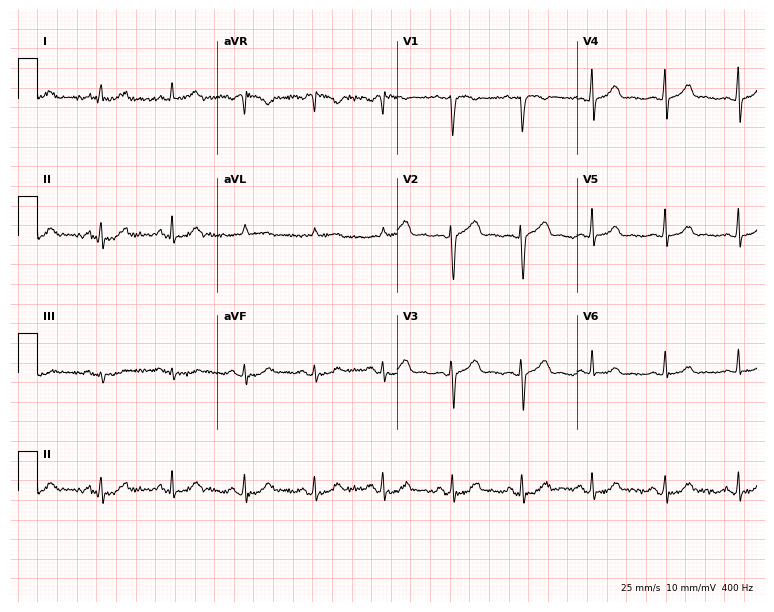
12-lead ECG from a female, 23 years old. Screened for six findings — first-degree AV block, right bundle branch block, left bundle branch block, sinus bradycardia, atrial fibrillation, sinus tachycardia — none is recorded. Other findings, if any, are not listed.